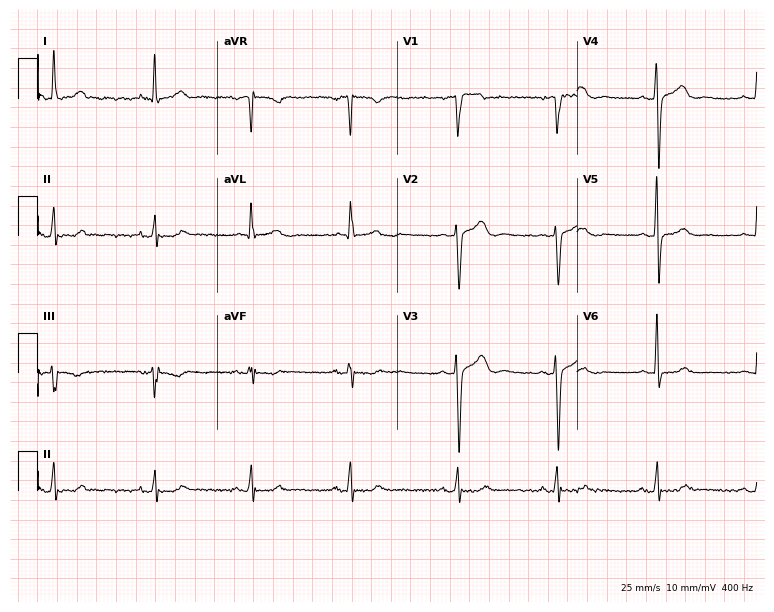
Standard 12-lead ECG recorded from a woman, 61 years old. None of these six findings is recorded: first-degree AV block, right bundle branch block (RBBB), left bundle branch block (LBBB), sinus bradycardia, atrial fibrillation (AF), sinus tachycardia.